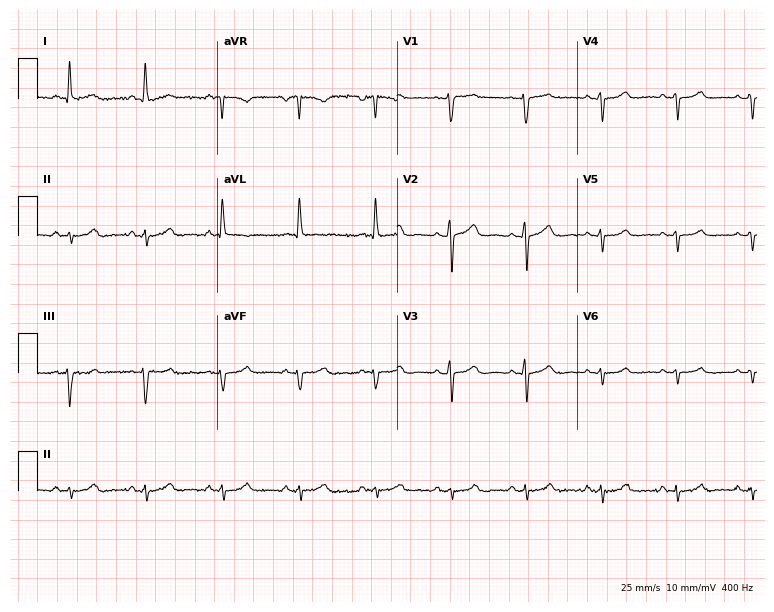
Electrocardiogram (7.3-second recording at 400 Hz), a 52-year-old male. Of the six screened findings (first-degree AV block, right bundle branch block (RBBB), left bundle branch block (LBBB), sinus bradycardia, atrial fibrillation (AF), sinus tachycardia), none is recorded. Findings outside these six are not listed.